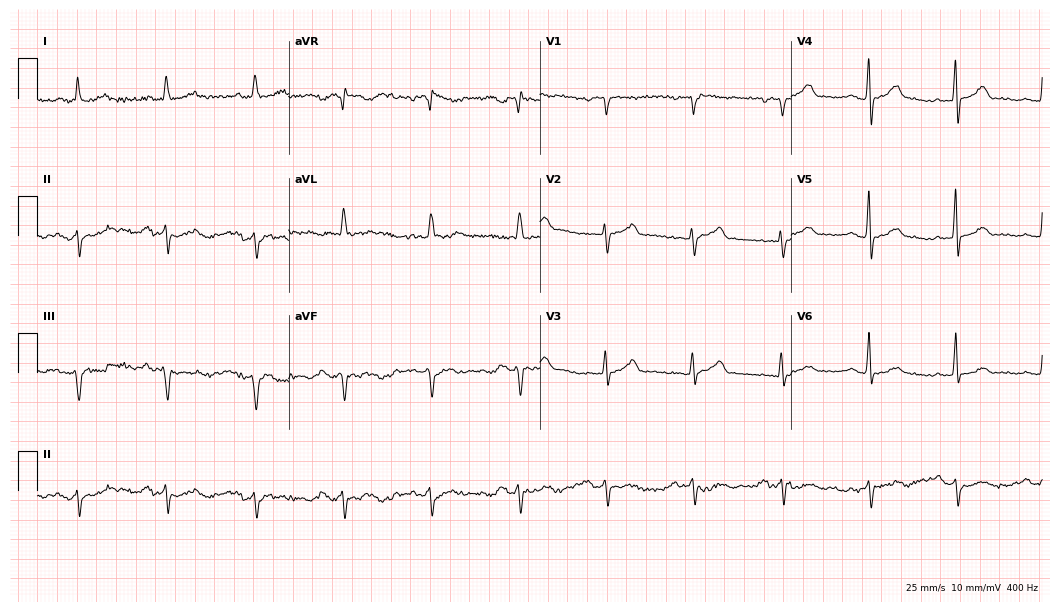
Resting 12-lead electrocardiogram. Patient: a male, 80 years old. None of these six findings is recorded: first-degree AV block, right bundle branch block, left bundle branch block, sinus bradycardia, atrial fibrillation, sinus tachycardia. Findings outside these six are not listed.